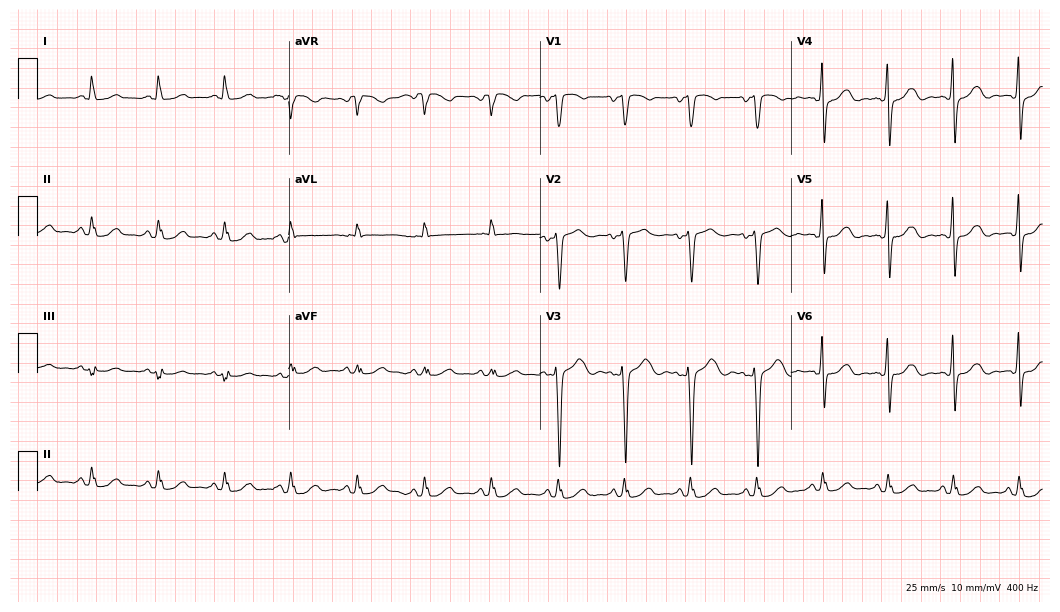
12-lead ECG (10.2-second recording at 400 Hz) from a female patient, 60 years old. Labelled as a normal ECG.